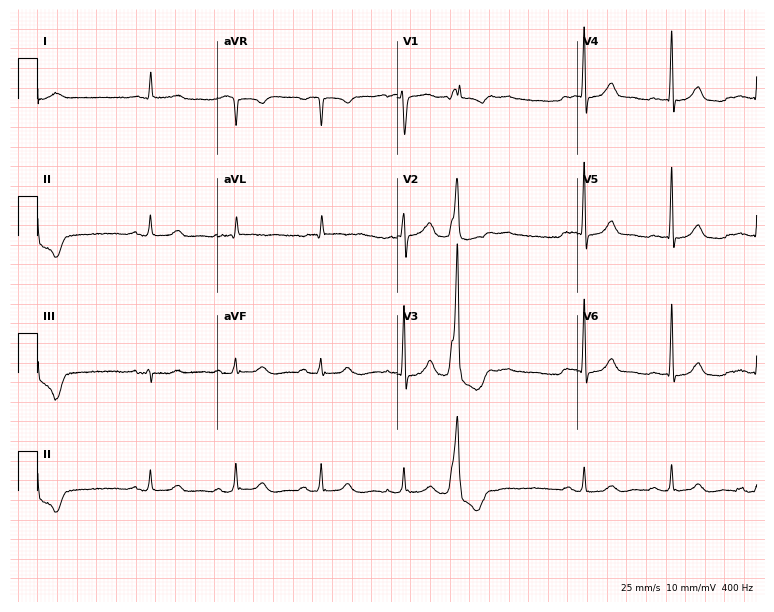
12-lead ECG (7.3-second recording at 400 Hz) from an 81-year-old male patient. Screened for six findings — first-degree AV block, right bundle branch block, left bundle branch block, sinus bradycardia, atrial fibrillation, sinus tachycardia — none is recorded.